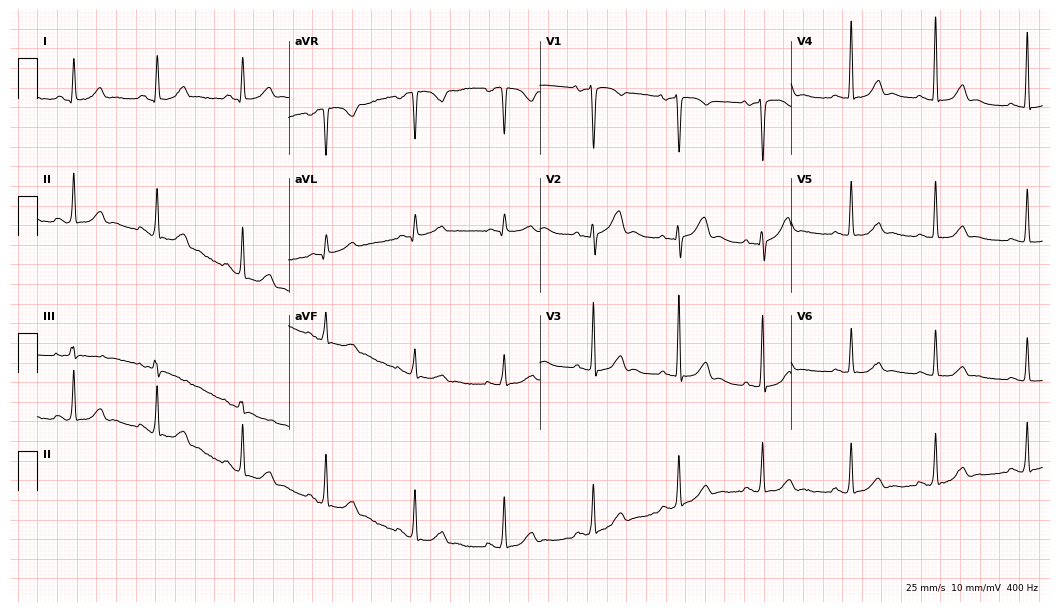
12-lead ECG from a woman, 47 years old (10.2-second recording at 400 Hz). Recorded interpretation: within normal limits.